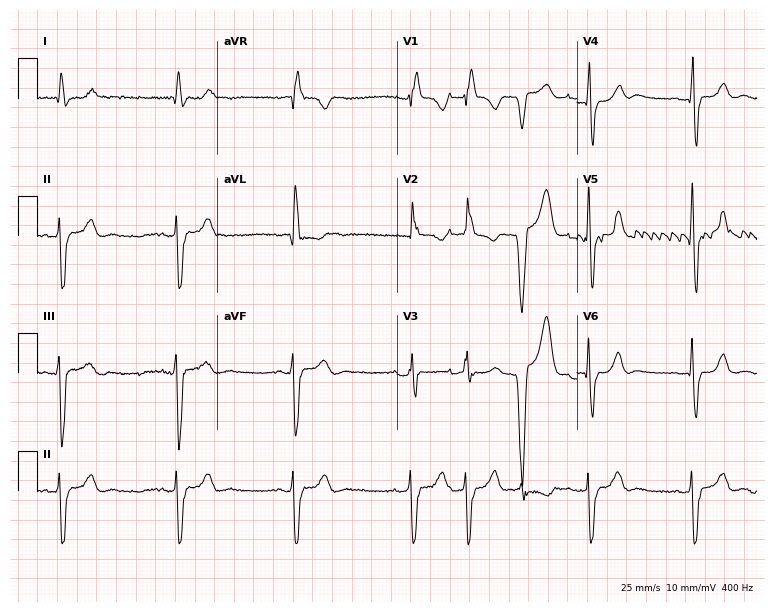
ECG — an 81-year-old woman. Screened for six findings — first-degree AV block, right bundle branch block (RBBB), left bundle branch block (LBBB), sinus bradycardia, atrial fibrillation (AF), sinus tachycardia — none is recorded.